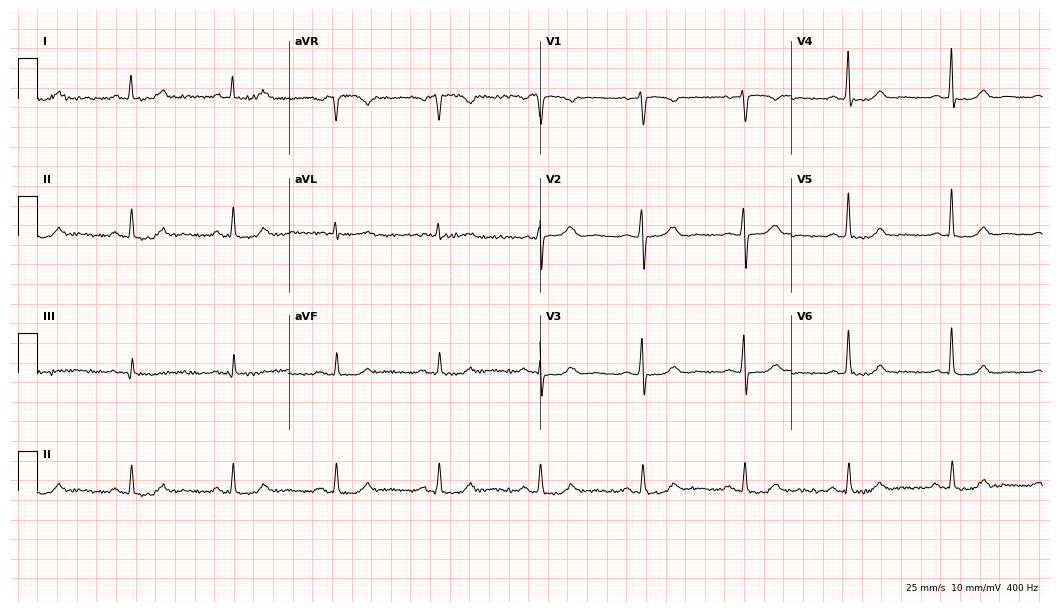
12-lead ECG from a 56-year-old woman. No first-degree AV block, right bundle branch block (RBBB), left bundle branch block (LBBB), sinus bradycardia, atrial fibrillation (AF) or sinus tachycardia recorded for this tracing.